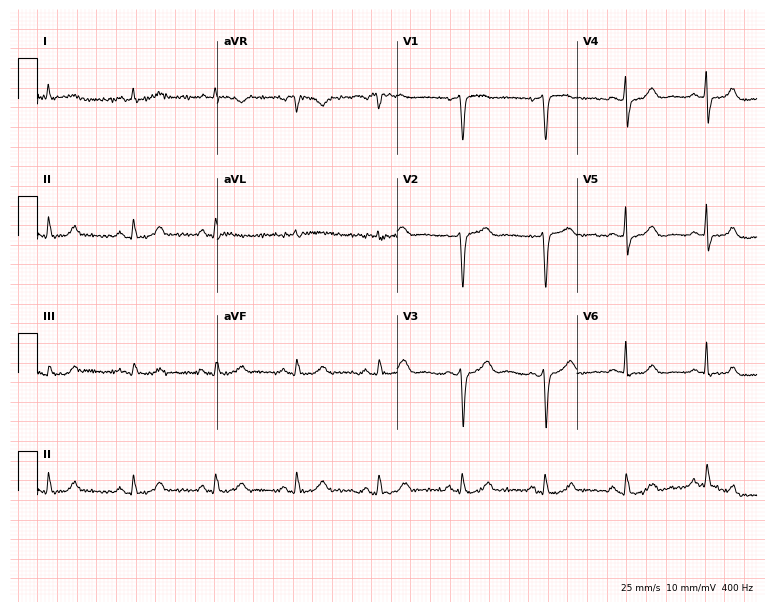
12-lead ECG from a 67-year-old female. Screened for six findings — first-degree AV block, right bundle branch block, left bundle branch block, sinus bradycardia, atrial fibrillation, sinus tachycardia — none is recorded. Only these six findings were labelled.